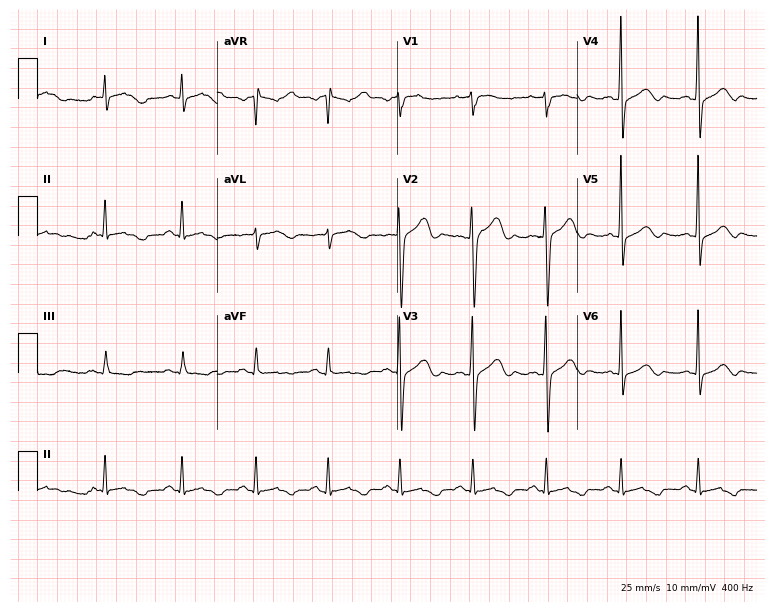
Electrocardiogram, a male patient, 52 years old. Of the six screened findings (first-degree AV block, right bundle branch block, left bundle branch block, sinus bradycardia, atrial fibrillation, sinus tachycardia), none is recorded.